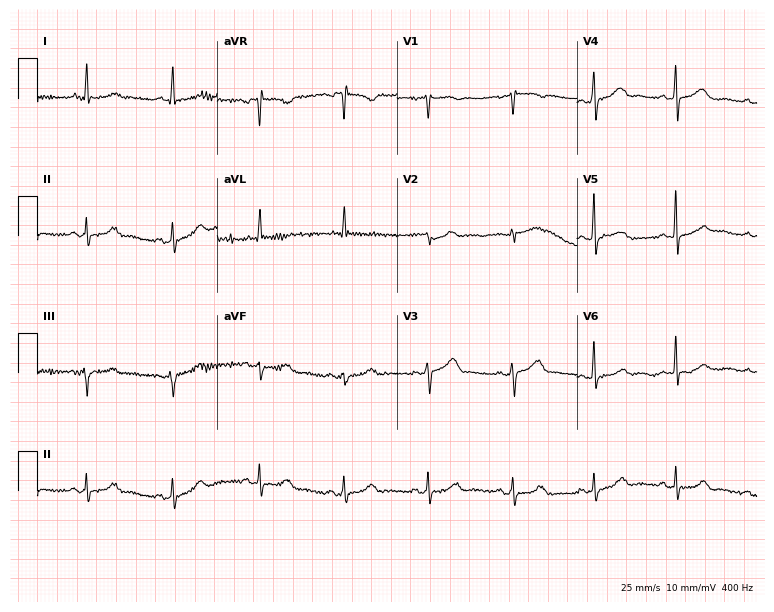
Electrocardiogram, a 64-year-old woman. Overall reading on record: normal ECG.